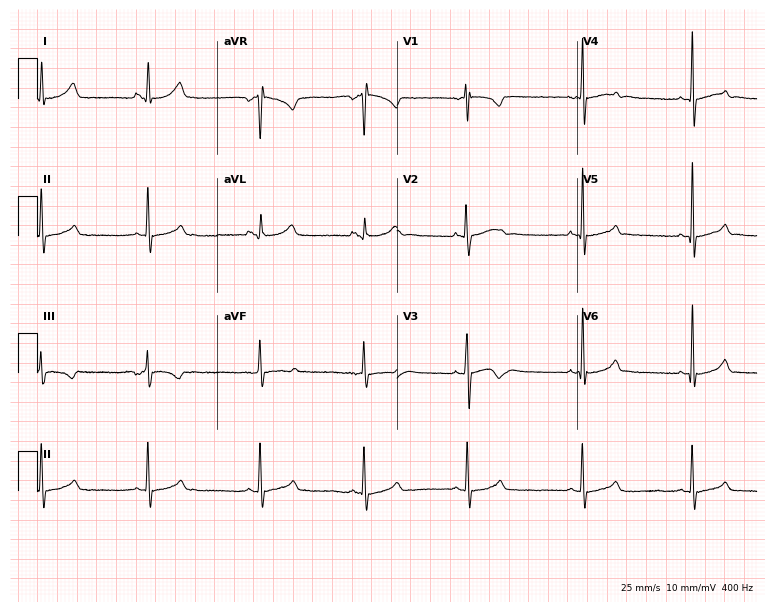
ECG (7.3-second recording at 400 Hz) — an 18-year-old female. Labelled as a normal ECG.